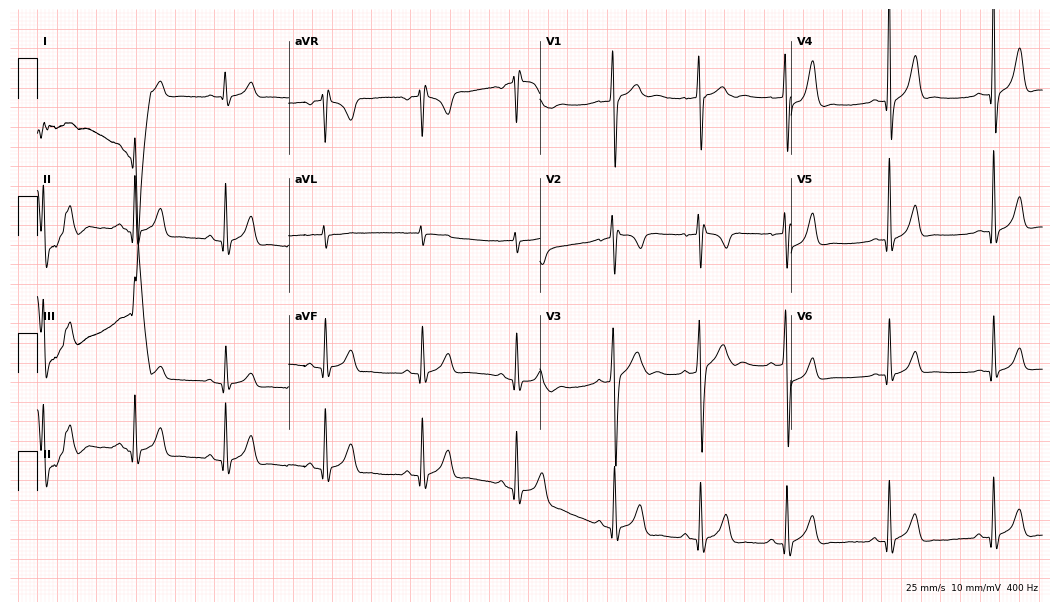
Resting 12-lead electrocardiogram (10.2-second recording at 400 Hz). Patient: a 17-year-old male. None of these six findings is recorded: first-degree AV block, right bundle branch block (RBBB), left bundle branch block (LBBB), sinus bradycardia, atrial fibrillation (AF), sinus tachycardia. Only these six findings were labelled.